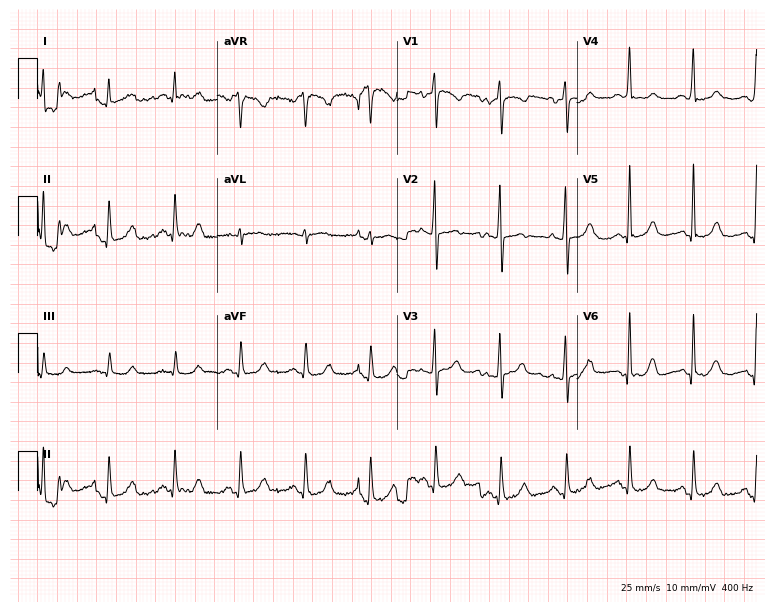
Electrocardiogram, a female, 48 years old. Overall reading on record: normal ECG.